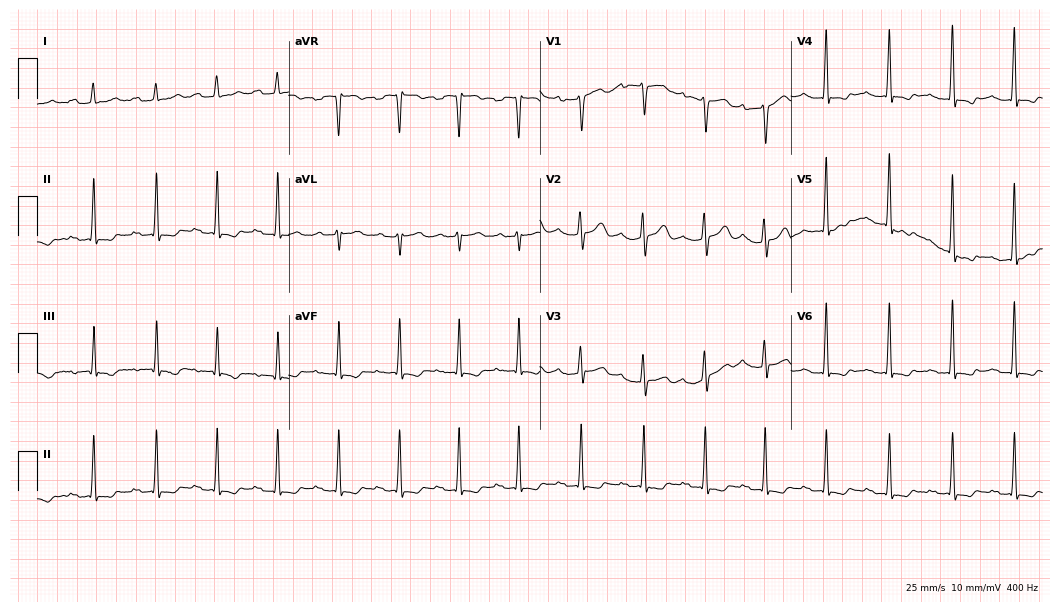
ECG (10.2-second recording at 400 Hz) — a female patient, 30 years old. Screened for six findings — first-degree AV block, right bundle branch block (RBBB), left bundle branch block (LBBB), sinus bradycardia, atrial fibrillation (AF), sinus tachycardia — none is recorded. Other findings, if any, are not listed.